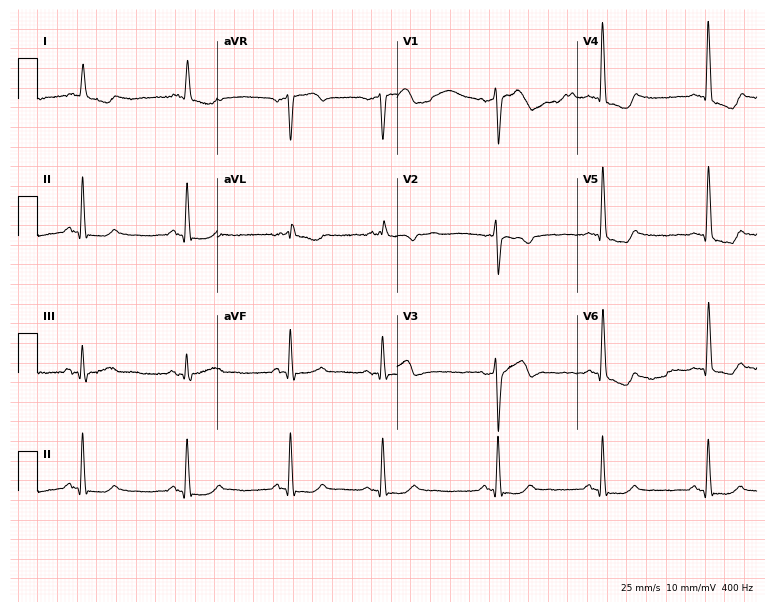
Electrocardiogram, a female patient, 64 years old. Of the six screened findings (first-degree AV block, right bundle branch block (RBBB), left bundle branch block (LBBB), sinus bradycardia, atrial fibrillation (AF), sinus tachycardia), none is recorded. Only these six findings were labelled.